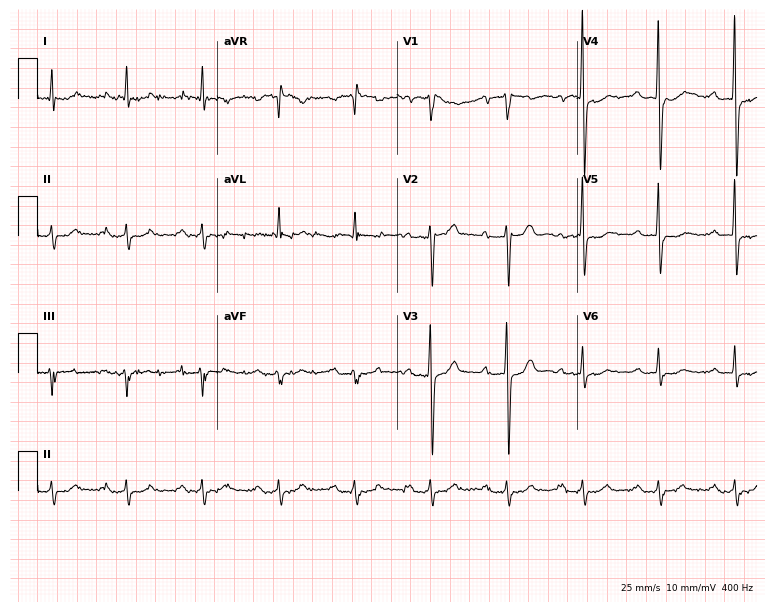
12-lead ECG from a man, 82 years old. Shows first-degree AV block.